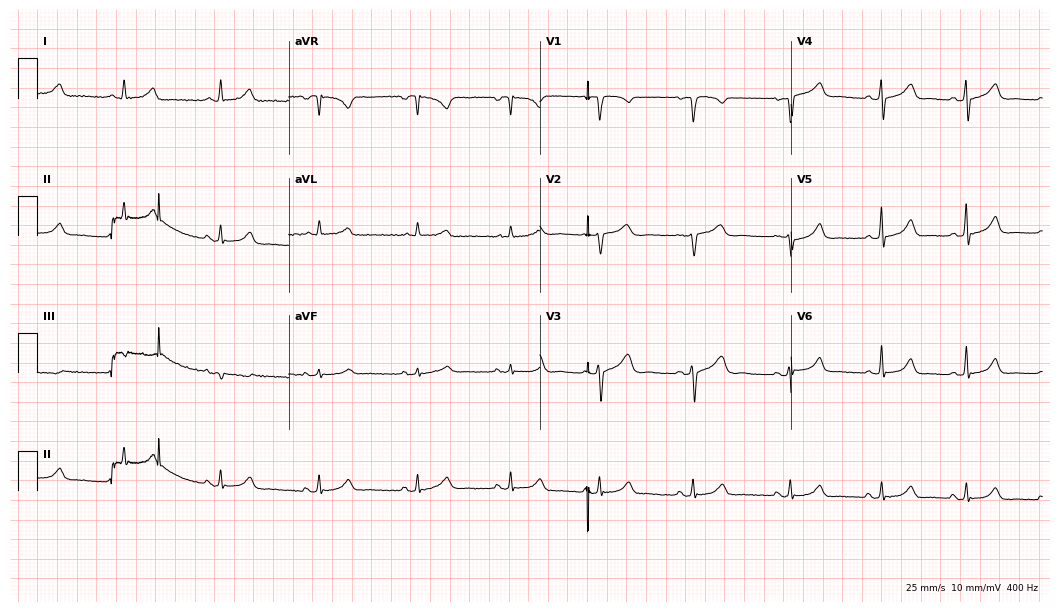
Standard 12-lead ECG recorded from a 48-year-old woman. Read as a normal ECG.